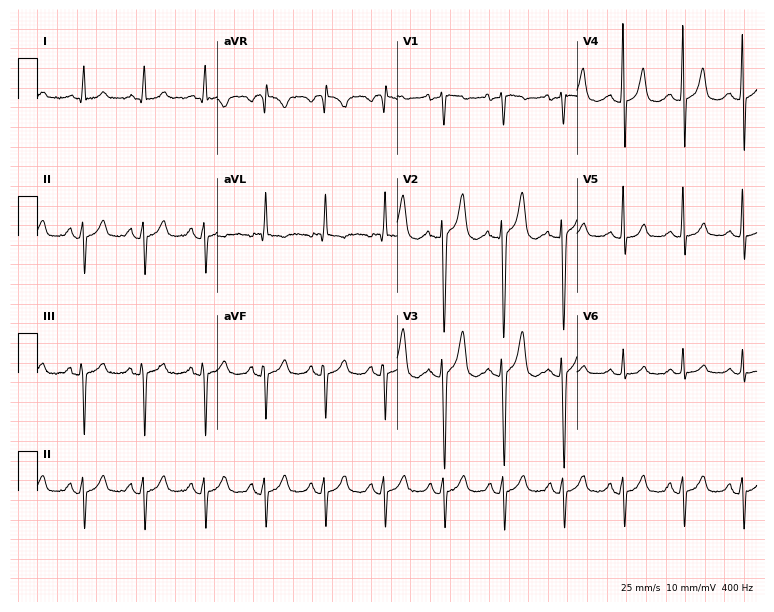
ECG (7.3-second recording at 400 Hz) — a 58-year-old man. Screened for six findings — first-degree AV block, right bundle branch block, left bundle branch block, sinus bradycardia, atrial fibrillation, sinus tachycardia — none is recorded.